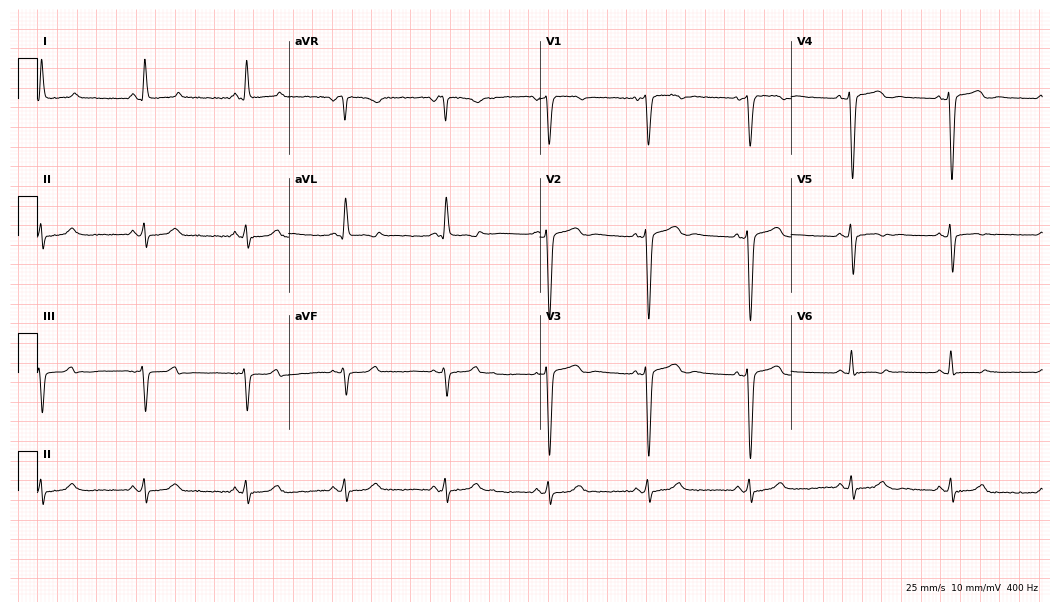
12-lead ECG (10.2-second recording at 400 Hz) from a woman, 47 years old. Labelled as a normal ECG.